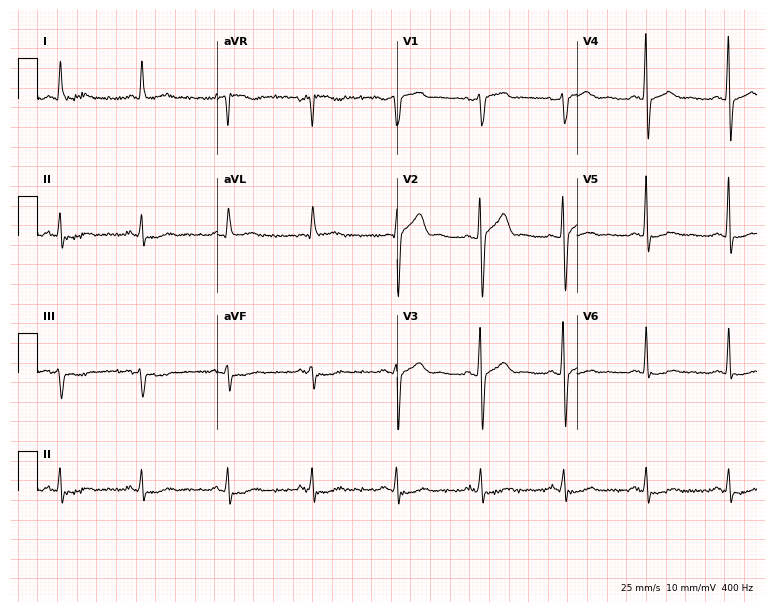
Standard 12-lead ECG recorded from a 69-year-old woman. None of these six findings is recorded: first-degree AV block, right bundle branch block (RBBB), left bundle branch block (LBBB), sinus bradycardia, atrial fibrillation (AF), sinus tachycardia. Findings outside these six are not listed.